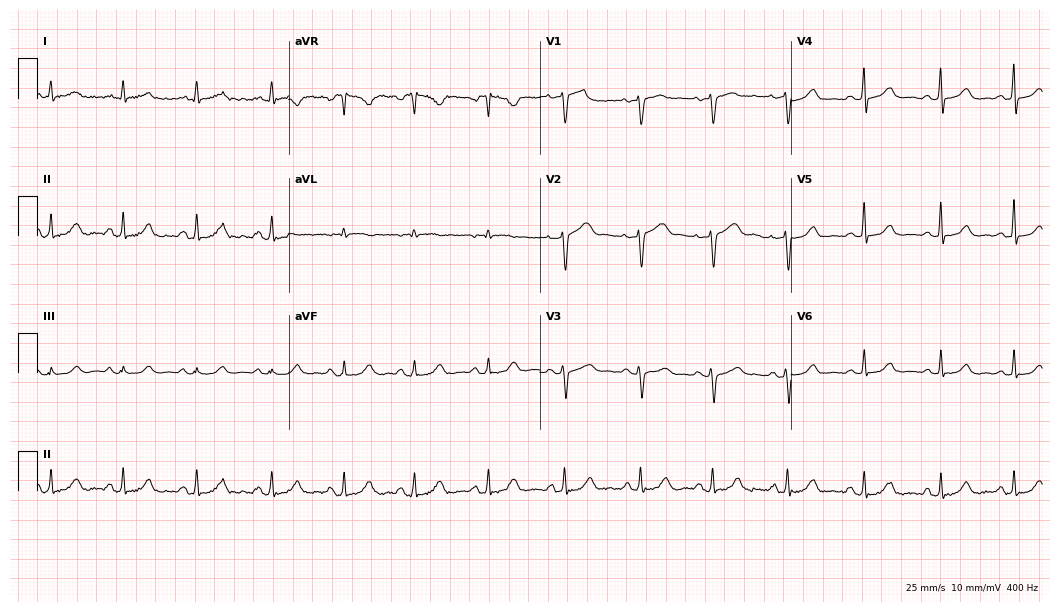
Electrocardiogram, a 48-year-old female patient. Overall reading on record: normal ECG.